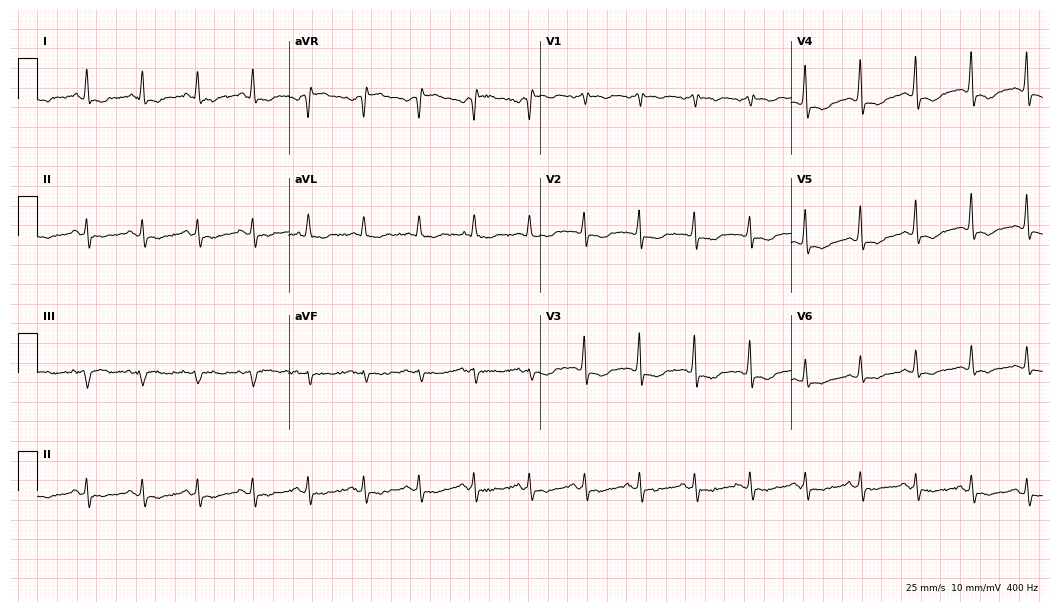
Standard 12-lead ECG recorded from a 60-year-old female (10.2-second recording at 400 Hz). The tracing shows sinus tachycardia (a sinus rate of 100 beats per minute or more).